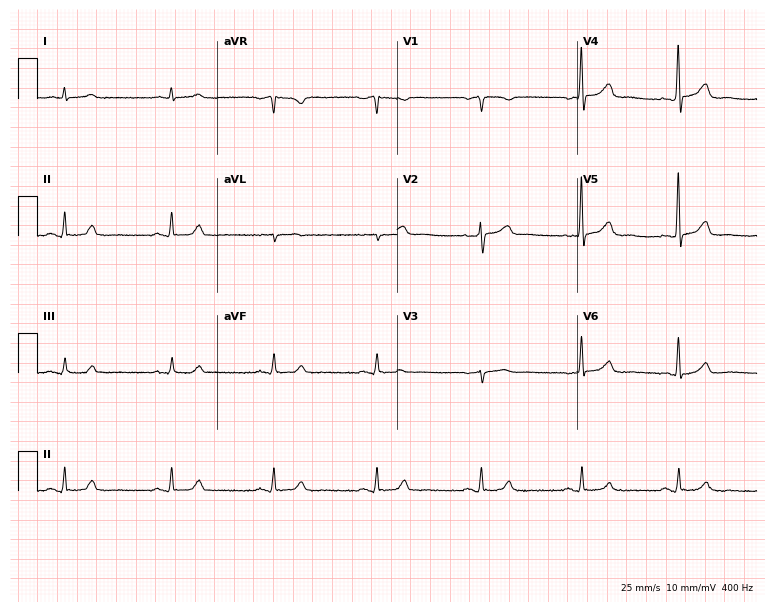
Resting 12-lead electrocardiogram. Patient: a male, 57 years old. Read as a normal ECG.